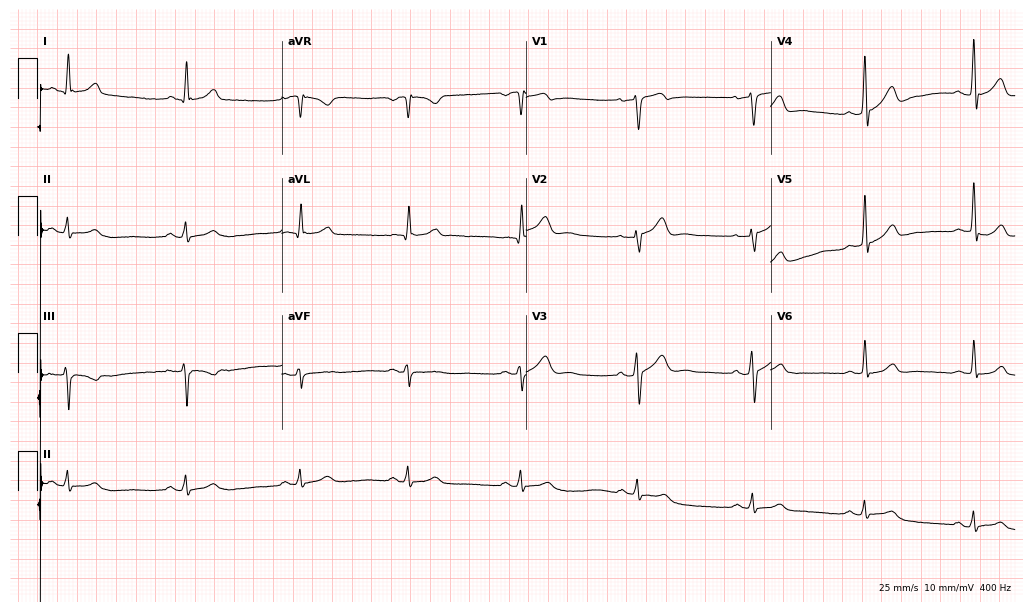
Standard 12-lead ECG recorded from a 51-year-old male. Read as a normal ECG.